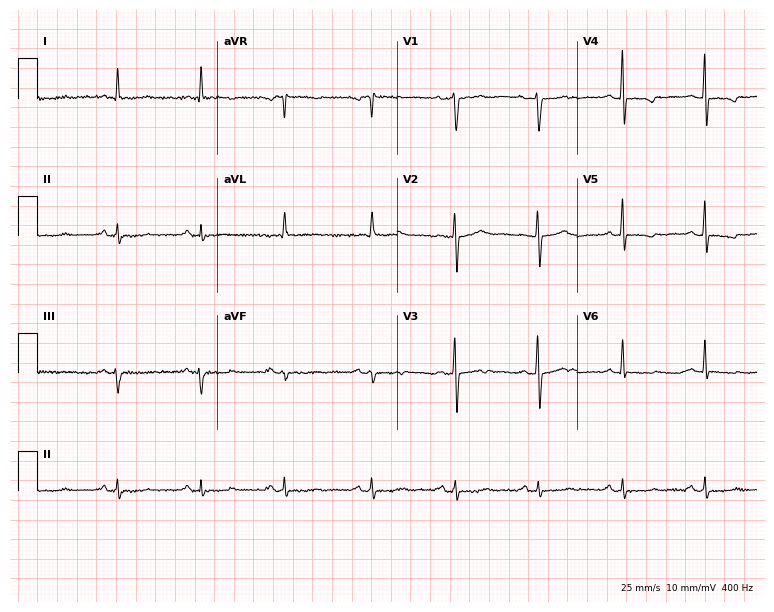
12-lead ECG from a woman, 70 years old (7.3-second recording at 400 Hz). No first-degree AV block, right bundle branch block, left bundle branch block, sinus bradycardia, atrial fibrillation or sinus tachycardia recorded for this tracing.